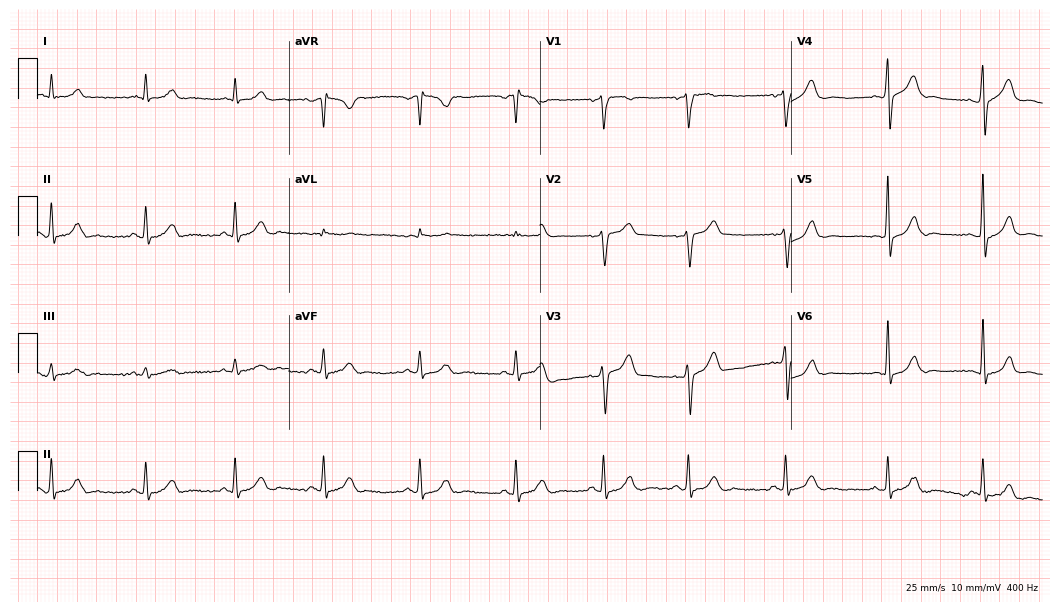
12-lead ECG from a 46-year-old man (10.2-second recording at 400 Hz). Recorded interpretation: within normal limits.